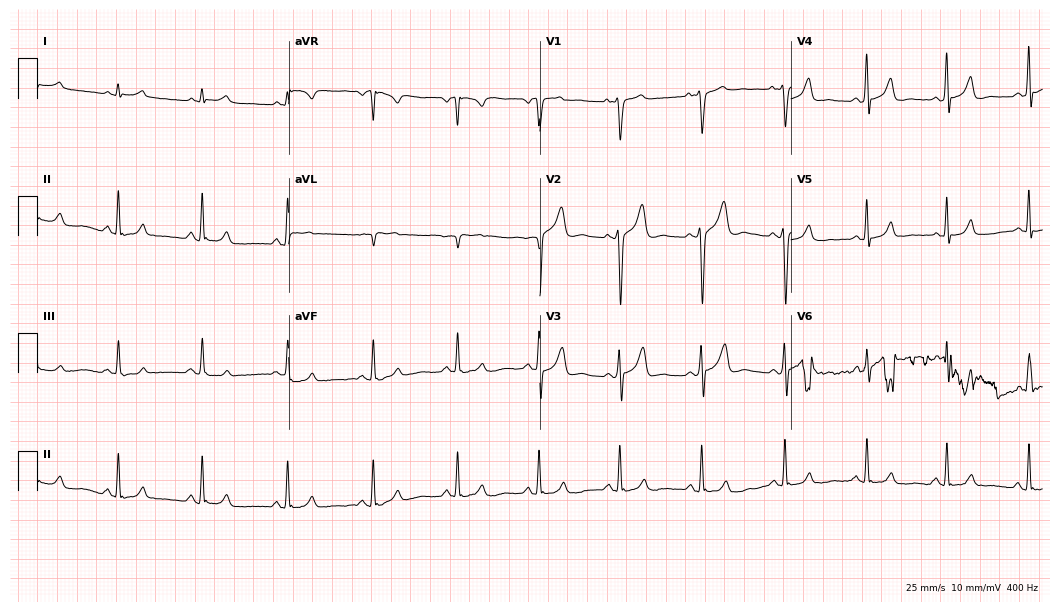
ECG — a man, 39 years old. Labelled as a normal ECG.